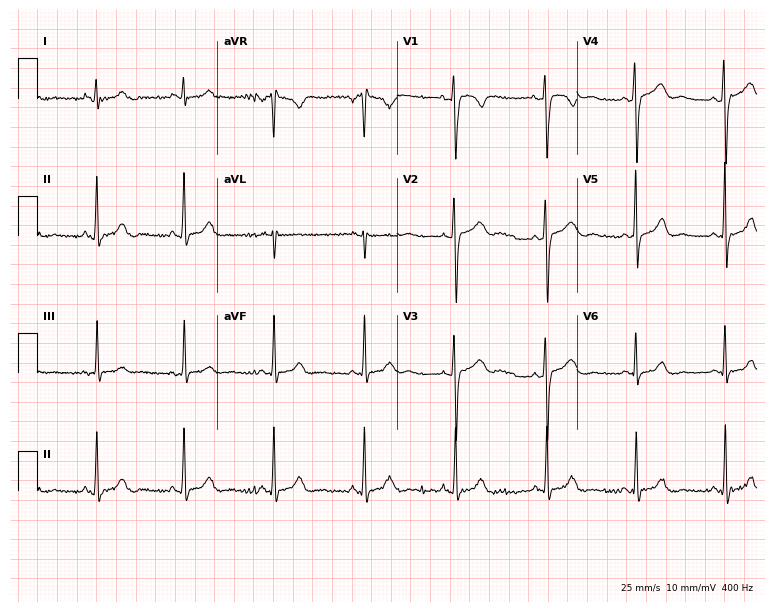
Resting 12-lead electrocardiogram. Patient: a female, 56 years old. Read as a normal ECG.